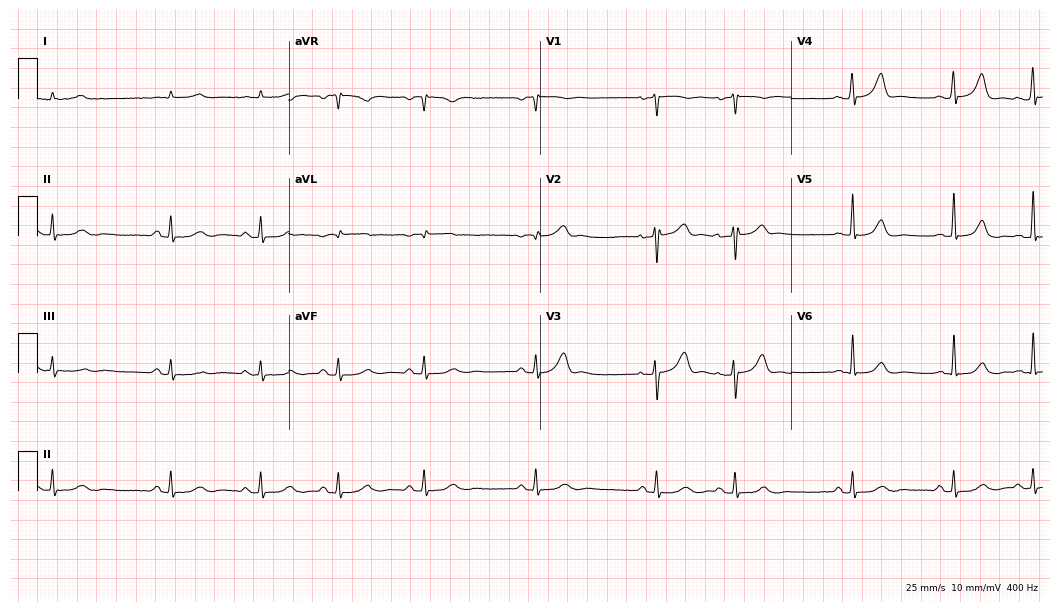
Standard 12-lead ECG recorded from a male patient, 36 years old (10.2-second recording at 400 Hz). None of these six findings is recorded: first-degree AV block, right bundle branch block (RBBB), left bundle branch block (LBBB), sinus bradycardia, atrial fibrillation (AF), sinus tachycardia. Other findings, if any, are not listed.